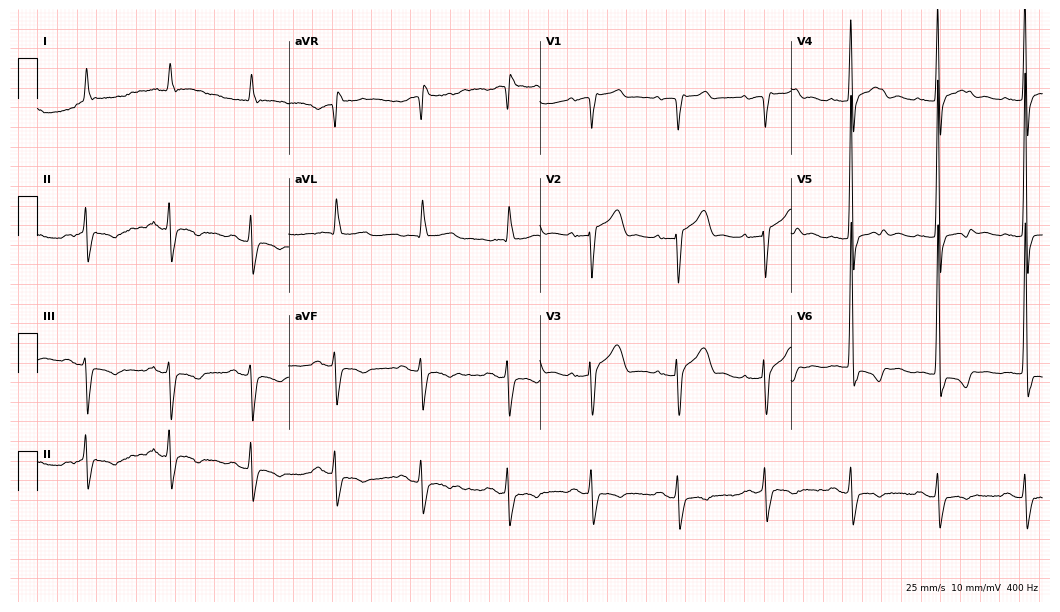
Resting 12-lead electrocardiogram (10.2-second recording at 400 Hz). Patient: an 84-year-old male. None of these six findings is recorded: first-degree AV block, right bundle branch block (RBBB), left bundle branch block (LBBB), sinus bradycardia, atrial fibrillation (AF), sinus tachycardia. Findings outside these six are not listed.